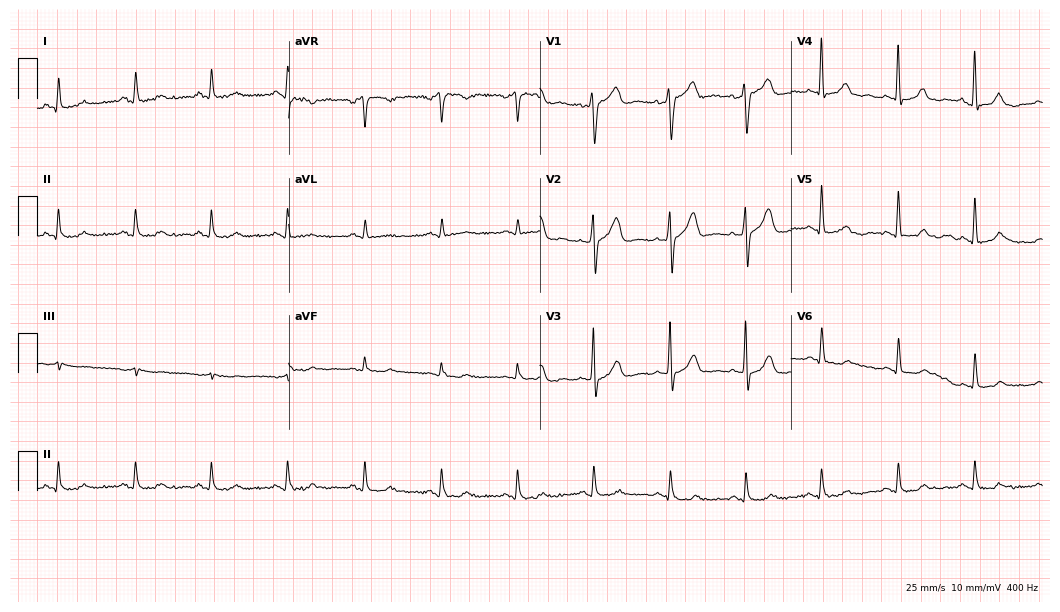
Electrocardiogram, a man, 82 years old. Overall reading on record: normal ECG.